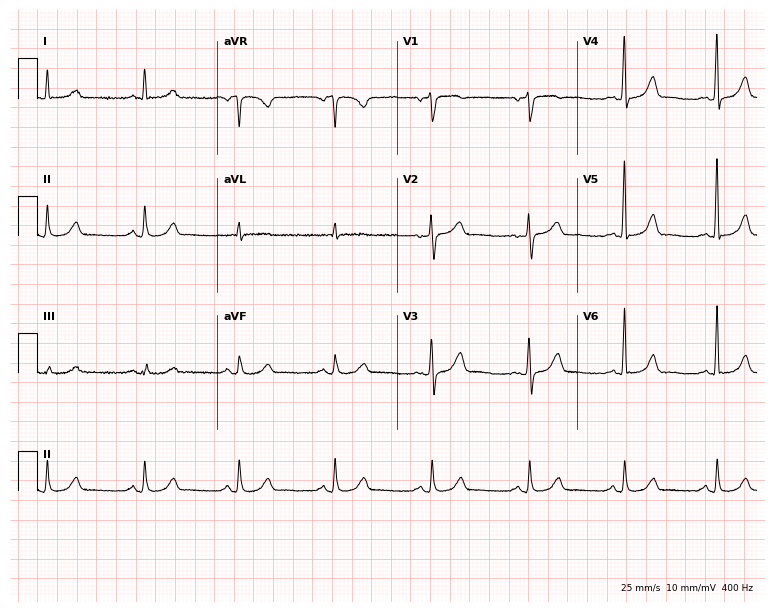
12-lead ECG from a 75-year-old male (7.3-second recording at 400 Hz). Recorded interpretation: within normal limits.